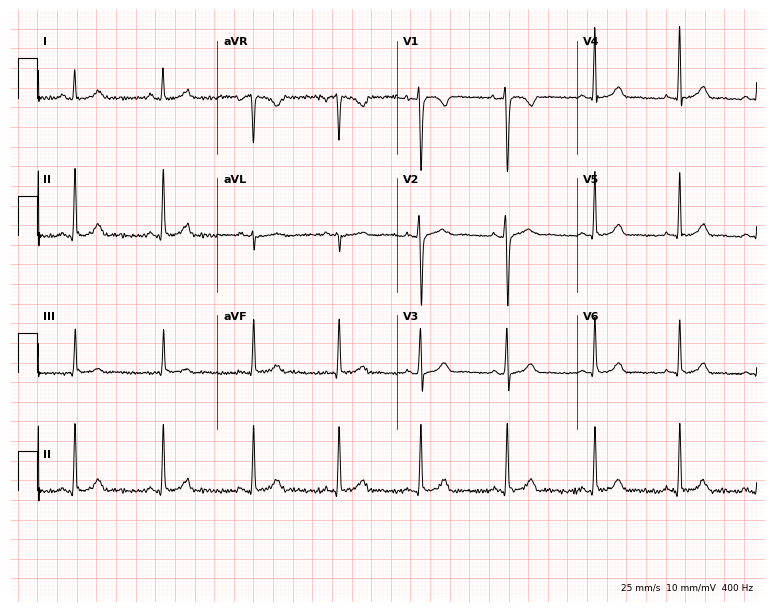
Electrocardiogram (7.3-second recording at 400 Hz), a 27-year-old female. Overall reading on record: normal ECG.